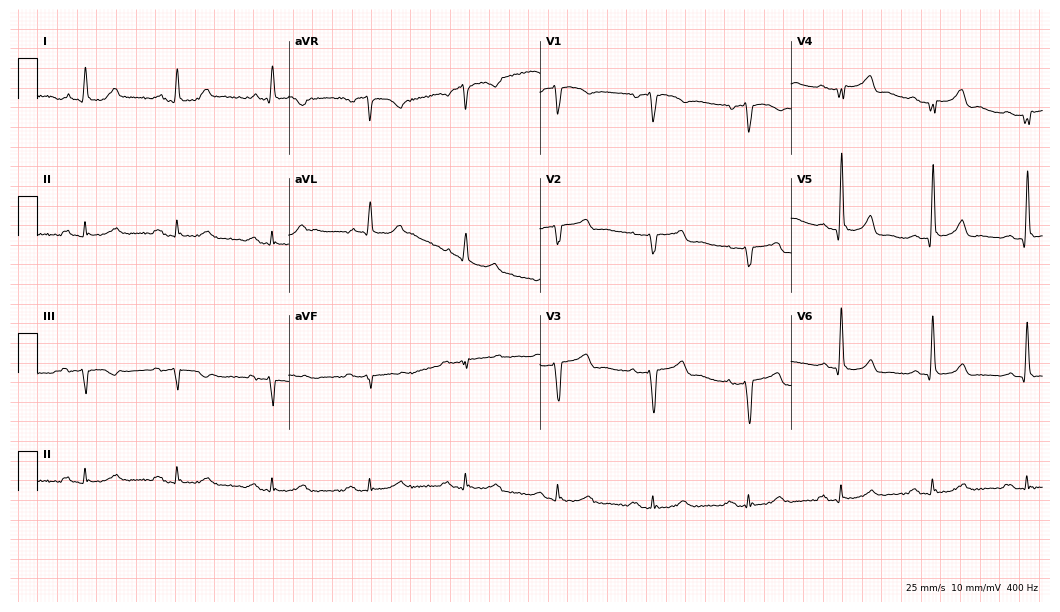
ECG (10.2-second recording at 400 Hz) — a 74-year-old male. Findings include first-degree AV block.